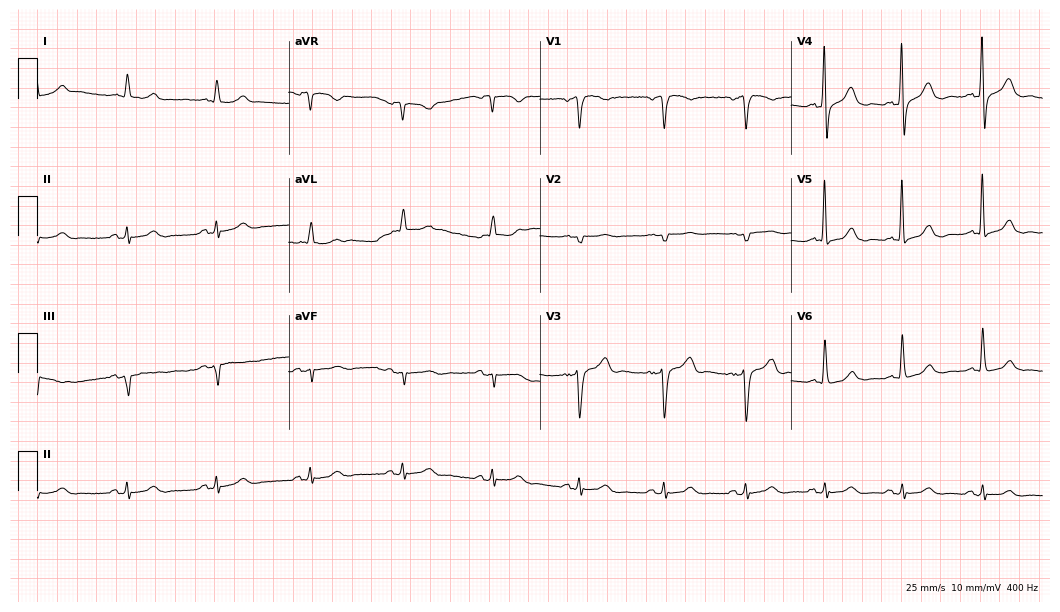
ECG — a male patient, 69 years old. Screened for six findings — first-degree AV block, right bundle branch block (RBBB), left bundle branch block (LBBB), sinus bradycardia, atrial fibrillation (AF), sinus tachycardia — none is recorded. Findings outside these six are not listed.